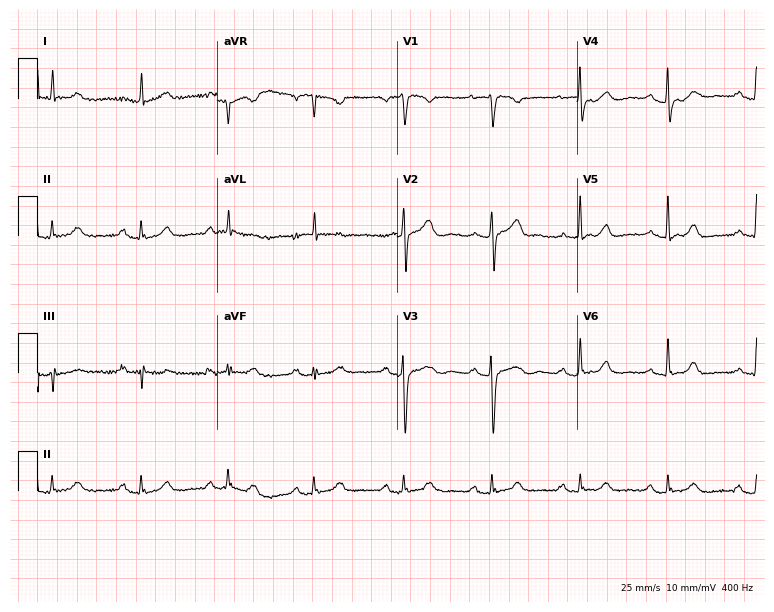
Electrocardiogram (7.3-second recording at 400 Hz), a female patient, 83 years old. Overall reading on record: normal ECG.